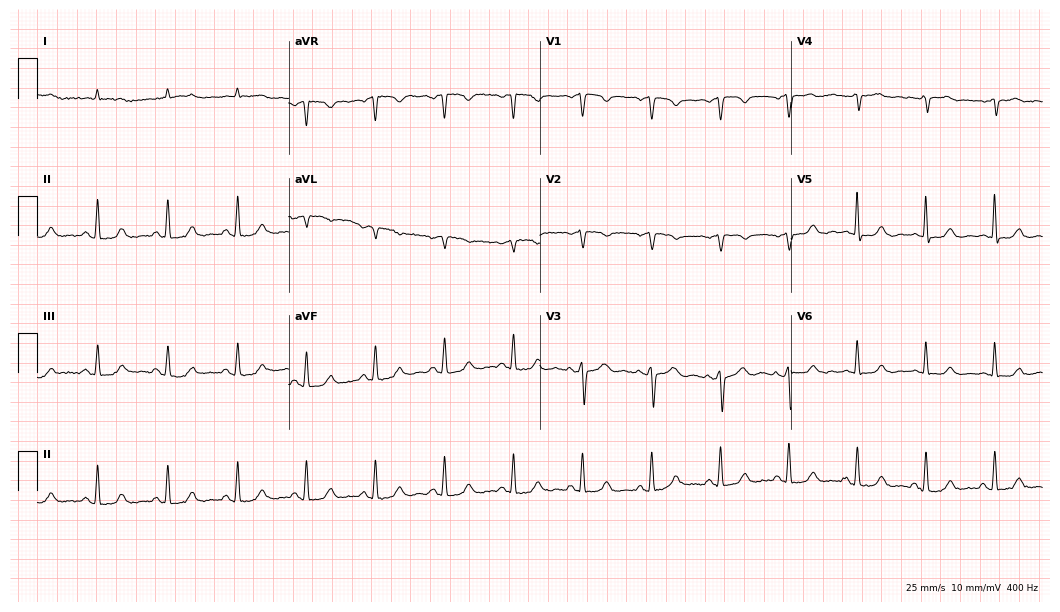
ECG (10.2-second recording at 400 Hz) — a 78-year-old man. Screened for six findings — first-degree AV block, right bundle branch block (RBBB), left bundle branch block (LBBB), sinus bradycardia, atrial fibrillation (AF), sinus tachycardia — none is recorded.